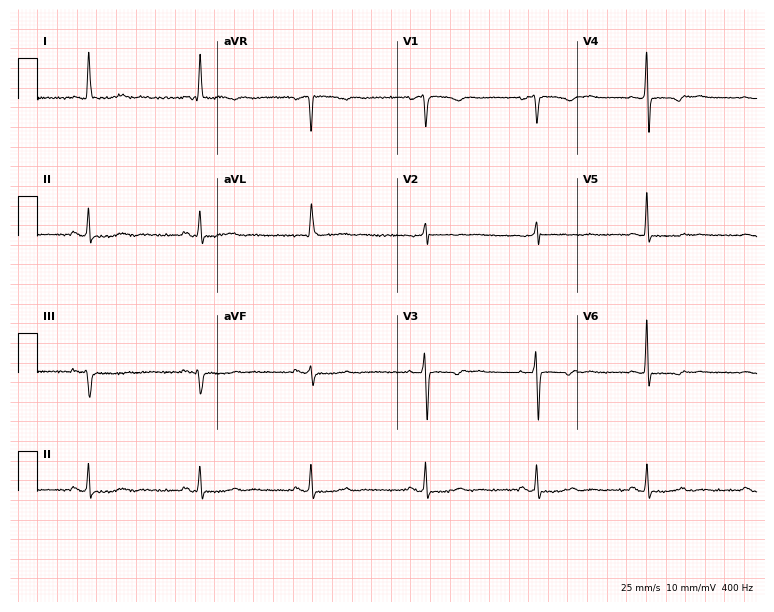
Standard 12-lead ECG recorded from a 68-year-old woman (7.3-second recording at 400 Hz). None of these six findings is recorded: first-degree AV block, right bundle branch block, left bundle branch block, sinus bradycardia, atrial fibrillation, sinus tachycardia.